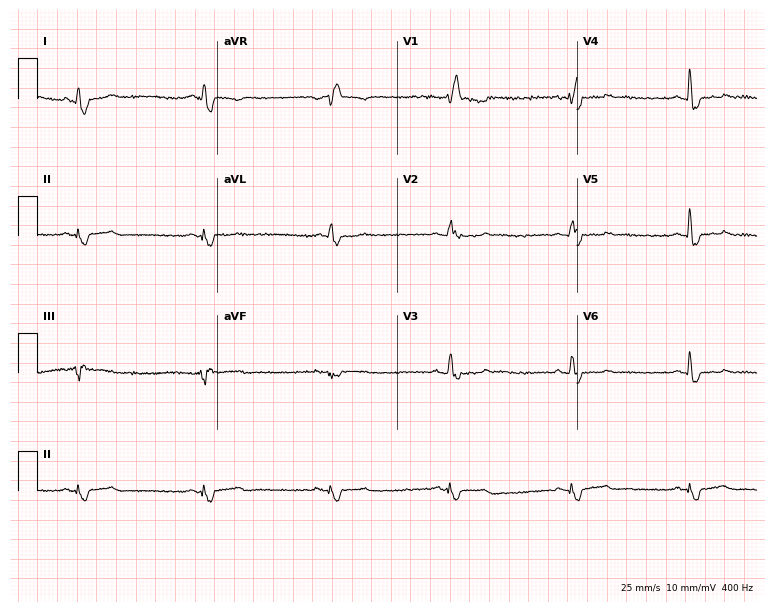
Standard 12-lead ECG recorded from a female patient, 38 years old. The tracing shows right bundle branch block, sinus bradycardia (a sinus rate of 50 beats per minute or less).